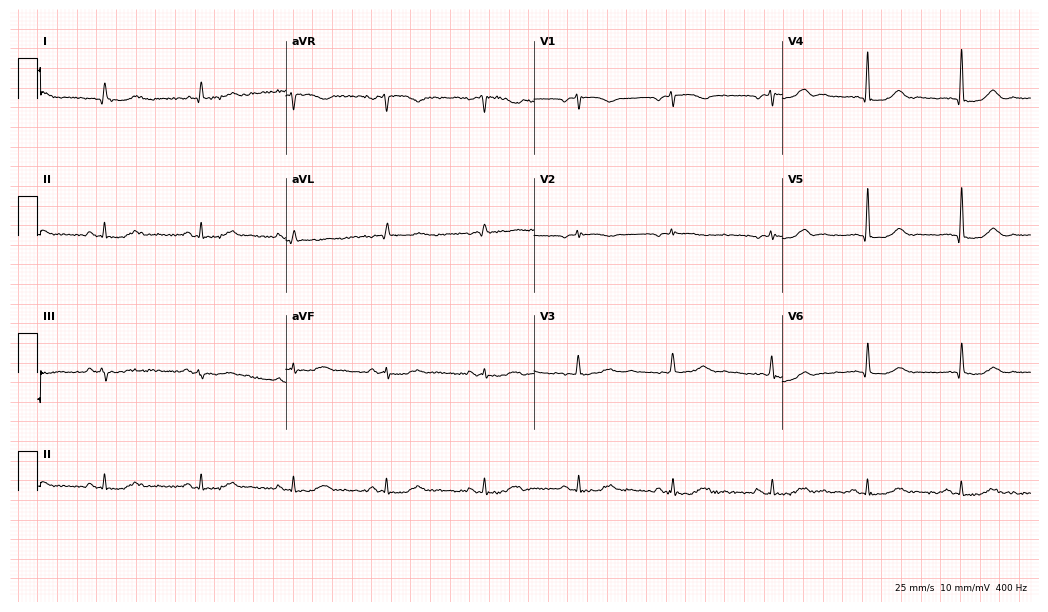
Standard 12-lead ECG recorded from an 81-year-old man (10.1-second recording at 400 Hz). None of these six findings is recorded: first-degree AV block, right bundle branch block, left bundle branch block, sinus bradycardia, atrial fibrillation, sinus tachycardia.